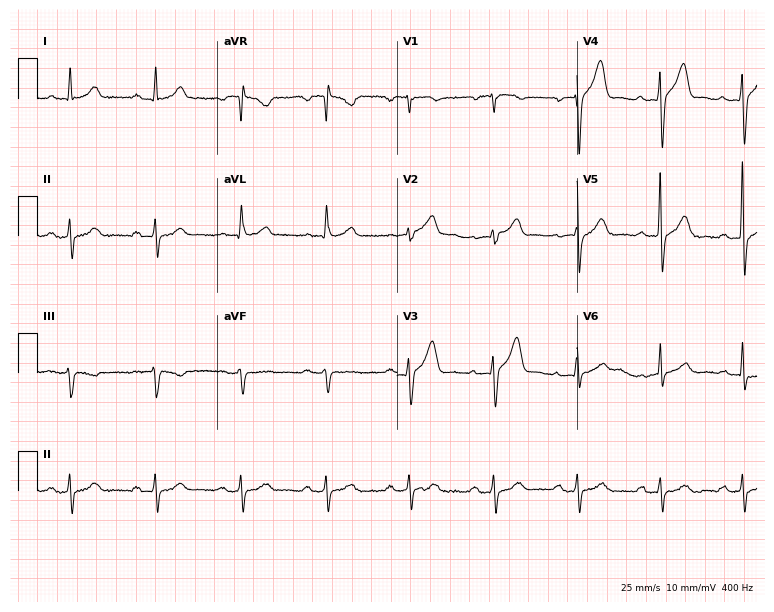
Electrocardiogram (7.3-second recording at 400 Hz), a female patient, 48 years old. Of the six screened findings (first-degree AV block, right bundle branch block, left bundle branch block, sinus bradycardia, atrial fibrillation, sinus tachycardia), none is recorded.